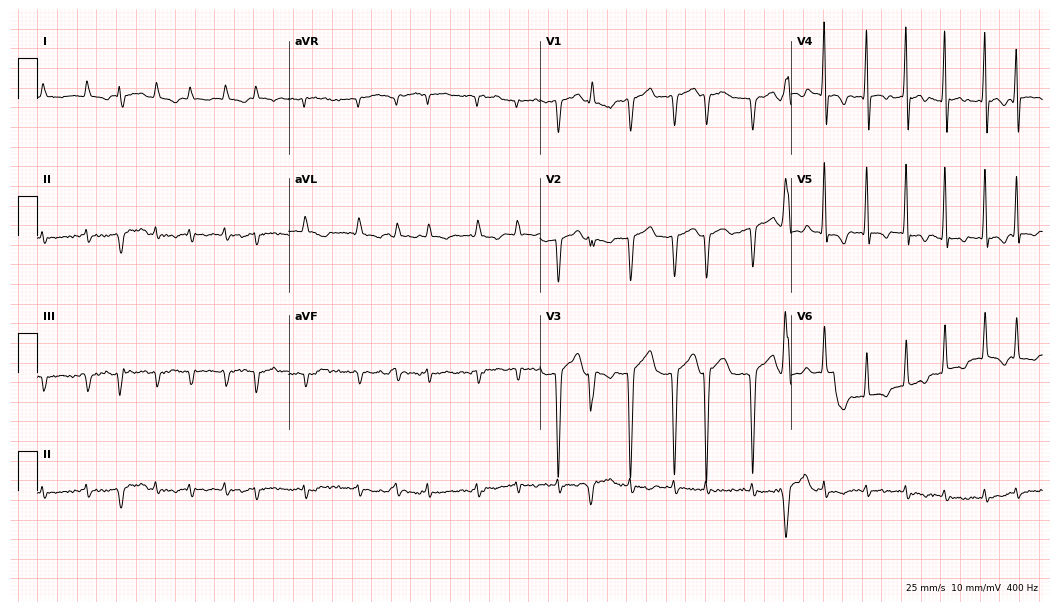
12-lead ECG from a 67-year-old man. Findings include atrial fibrillation.